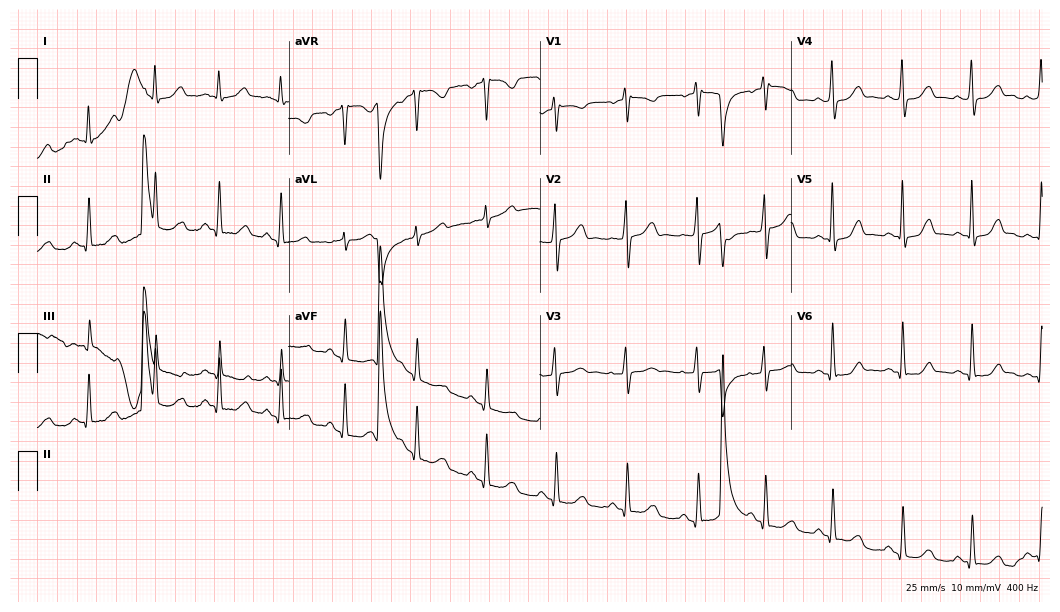
Resting 12-lead electrocardiogram (10.2-second recording at 400 Hz). Patient: a female, 38 years old. Read as a normal ECG.